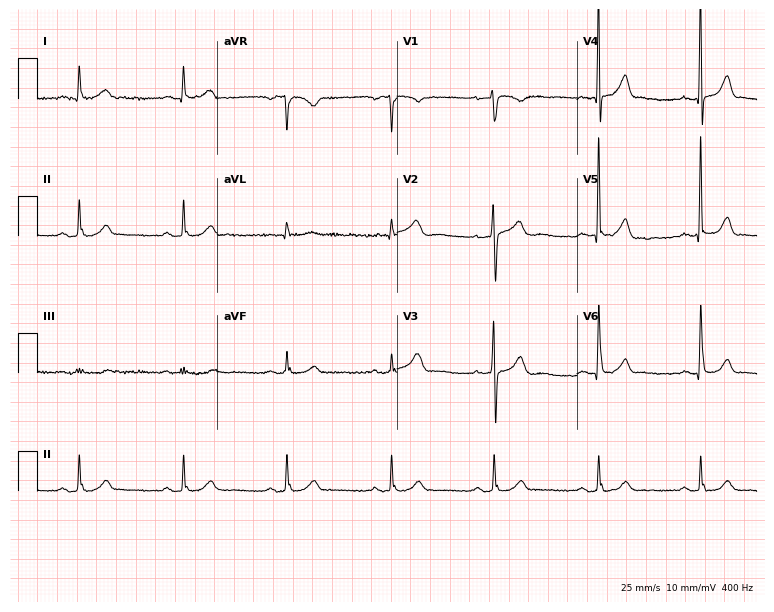
Electrocardiogram (7.3-second recording at 400 Hz), a 63-year-old male. Overall reading on record: normal ECG.